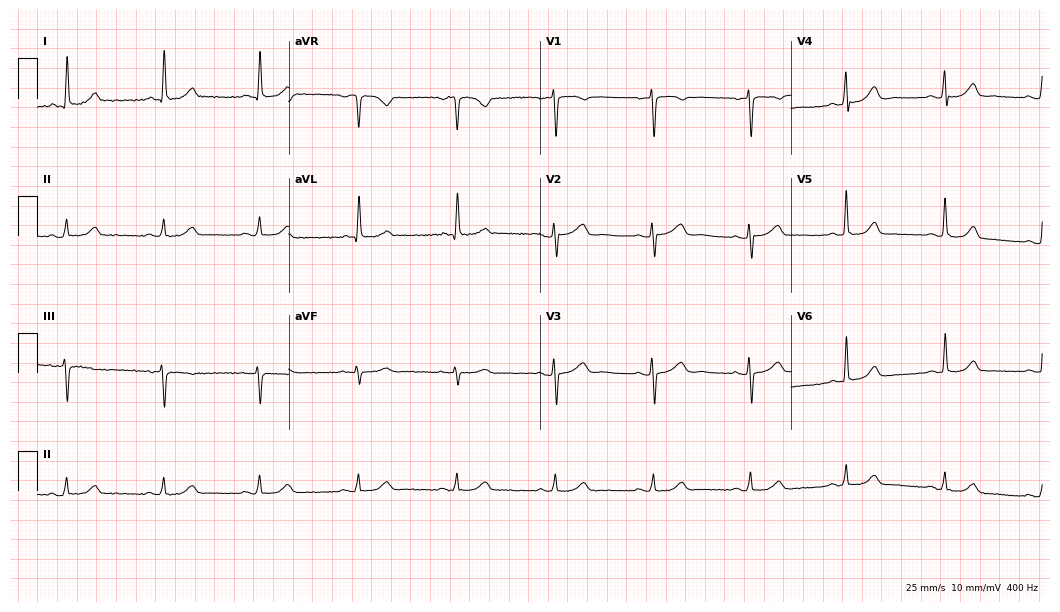
12-lead ECG from a 71-year-old woman. Recorded interpretation: within normal limits.